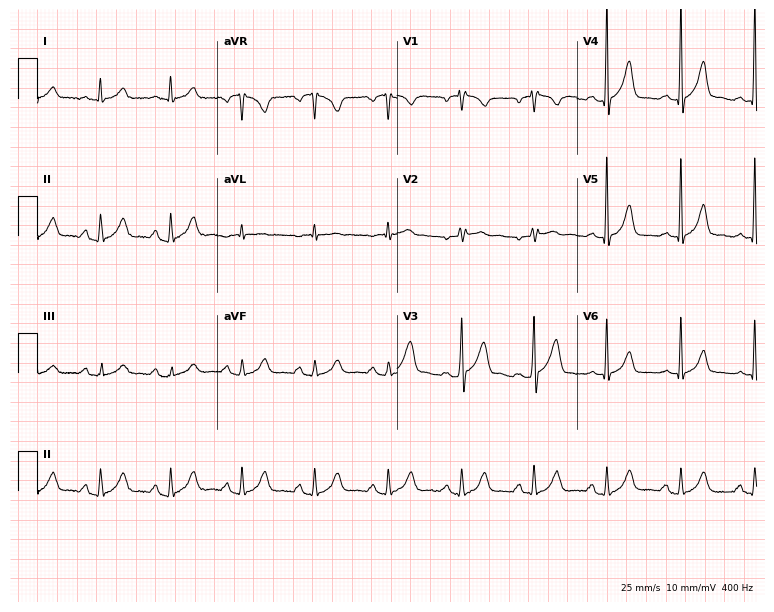
Standard 12-lead ECG recorded from a 76-year-old male patient (7.3-second recording at 400 Hz). Read as a normal ECG.